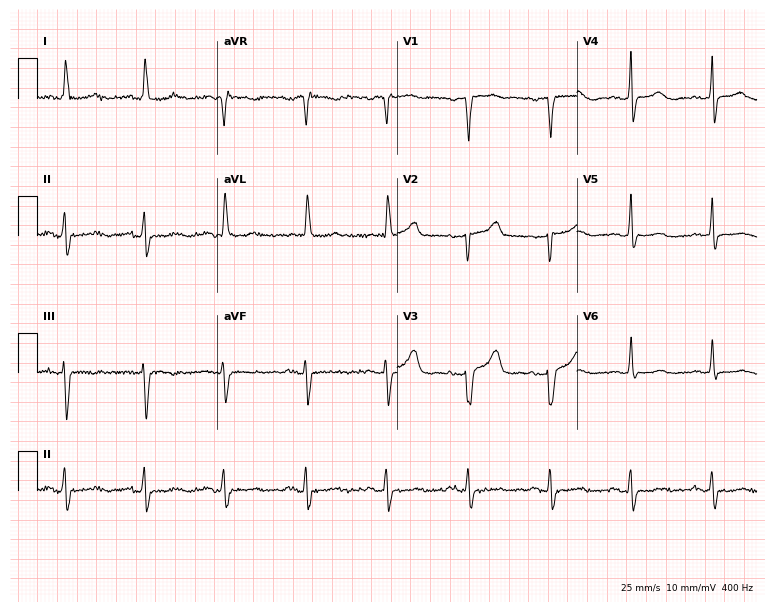
Resting 12-lead electrocardiogram (7.3-second recording at 400 Hz). Patient: an 82-year-old female. None of these six findings is recorded: first-degree AV block, right bundle branch block, left bundle branch block, sinus bradycardia, atrial fibrillation, sinus tachycardia. Findings outside these six are not listed.